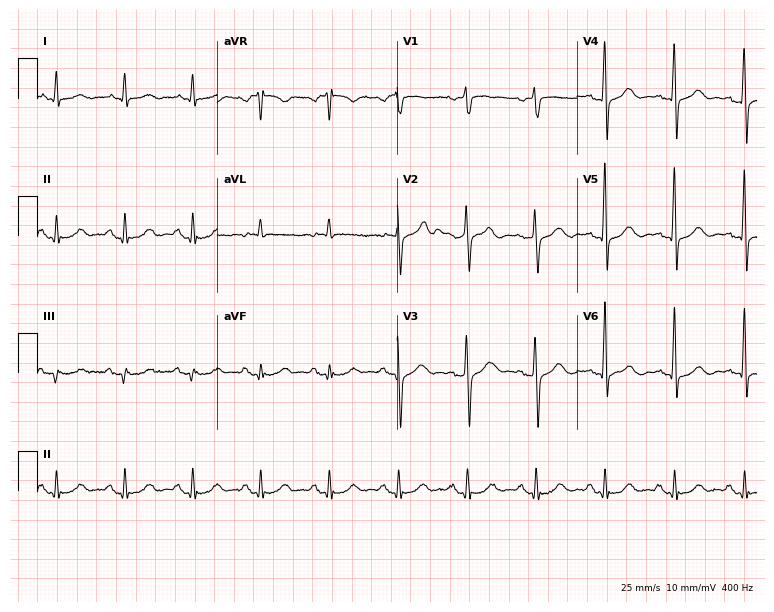
Resting 12-lead electrocardiogram. Patient: a male, 75 years old. Read as a normal ECG.